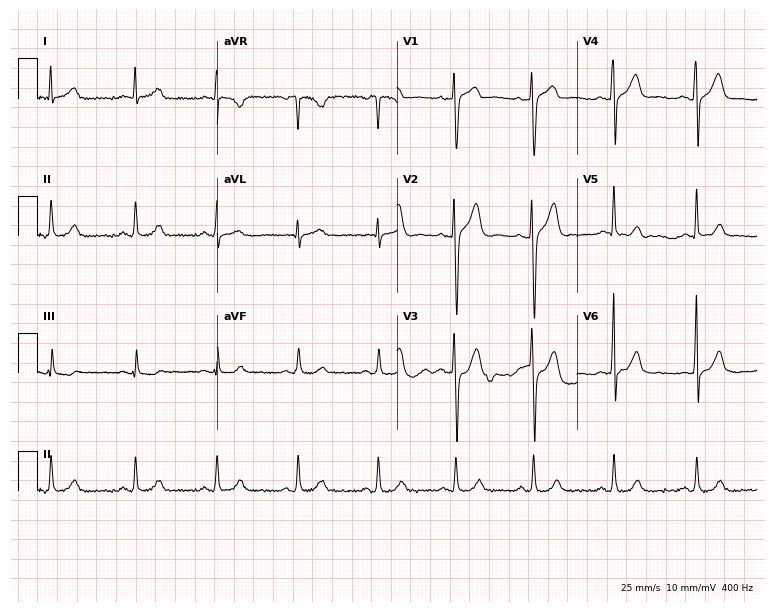
Standard 12-lead ECG recorded from a 40-year-old male patient. Read as a normal ECG.